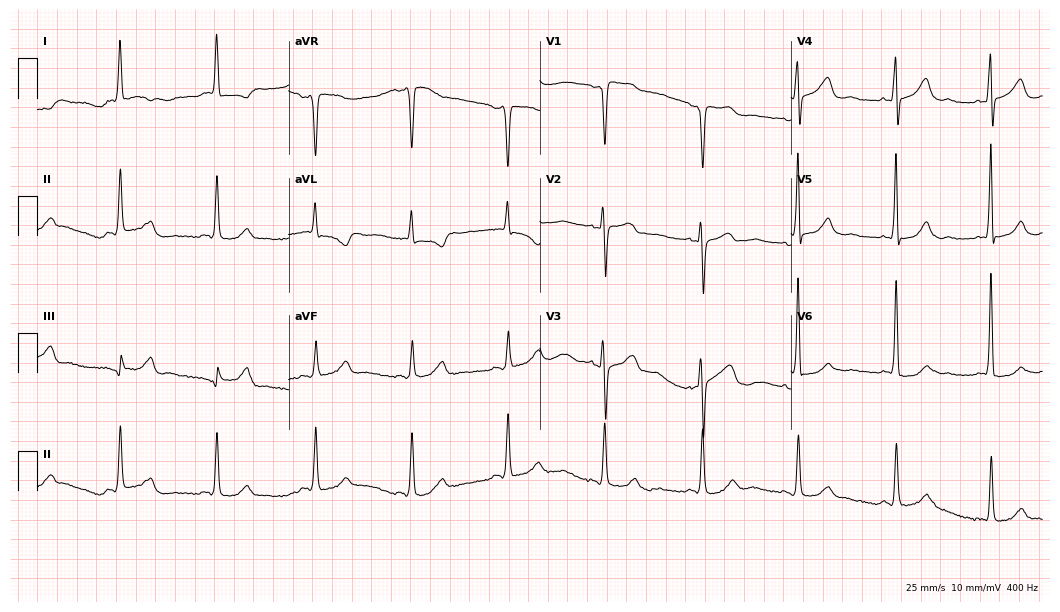
ECG (10.2-second recording at 400 Hz) — a 70-year-old female. Screened for six findings — first-degree AV block, right bundle branch block (RBBB), left bundle branch block (LBBB), sinus bradycardia, atrial fibrillation (AF), sinus tachycardia — none is recorded.